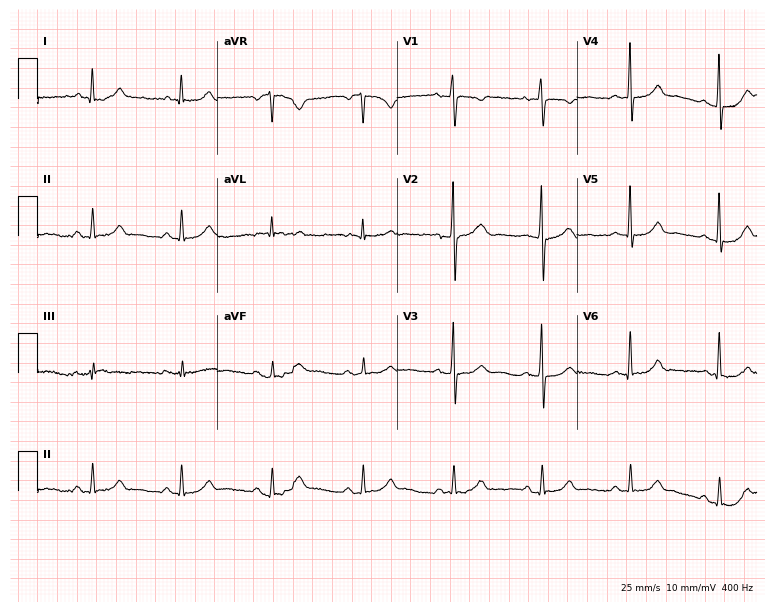
12-lead ECG from a female, 59 years old (7.3-second recording at 400 Hz). No first-degree AV block, right bundle branch block, left bundle branch block, sinus bradycardia, atrial fibrillation or sinus tachycardia recorded for this tracing. Only these six findings were labelled.